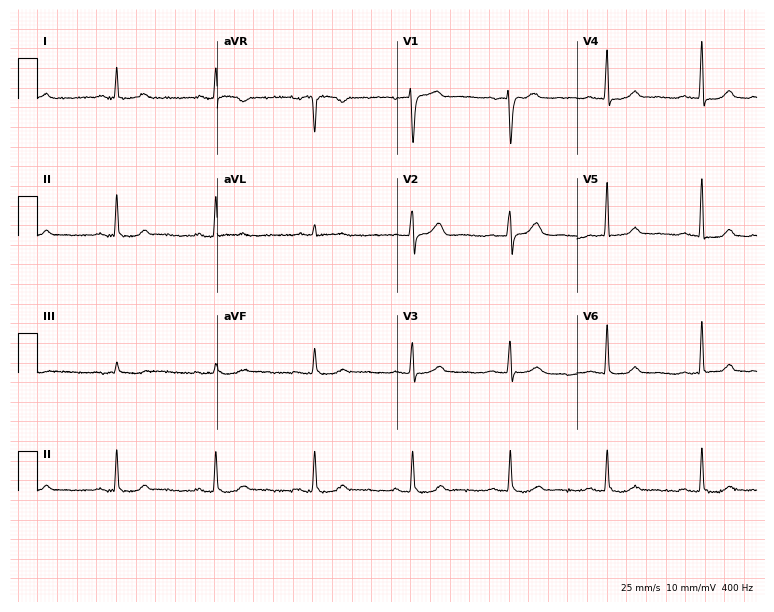
12-lead ECG from a woman, 60 years old. Recorded interpretation: within normal limits.